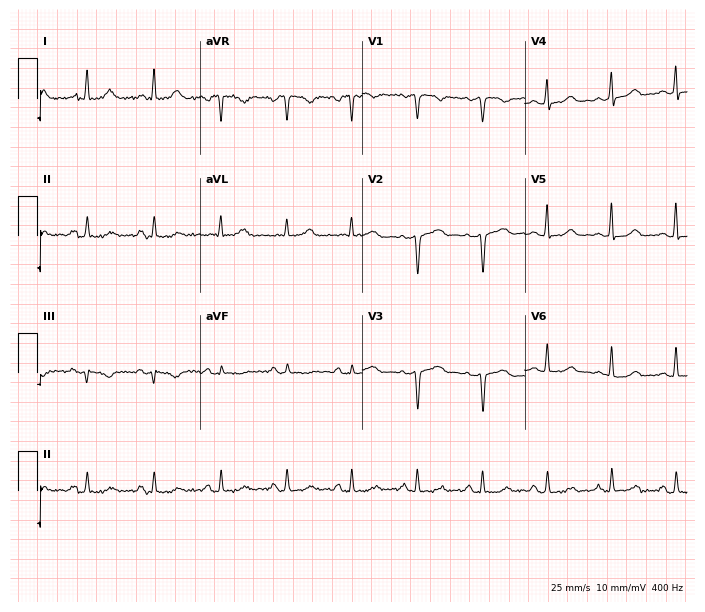
Resting 12-lead electrocardiogram (6.6-second recording at 400 Hz). Patient: a woman, 54 years old. None of these six findings is recorded: first-degree AV block, right bundle branch block, left bundle branch block, sinus bradycardia, atrial fibrillation, sinus tachycardia.